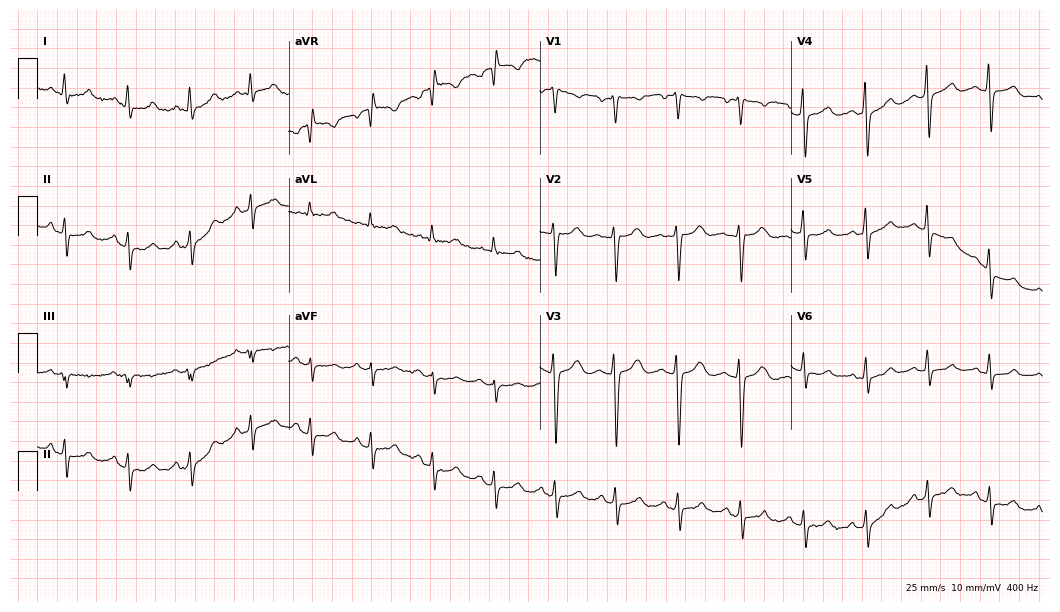
12-lead ECG from a female, 35 years old. Screened for six findings — first-degree AV block, right bundle branch block, left bundle branch block, sinus bradycardia, atrial fibrillation, sinus tachycardia — none is recorded.